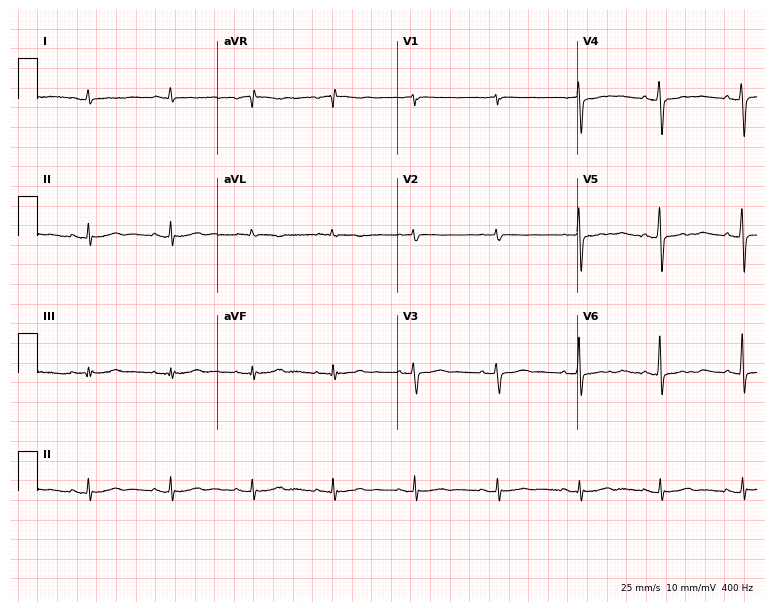
ECG (7.3-second recording at 400 Hz) — a 74-year-old man. Labelled as a normal ECG.